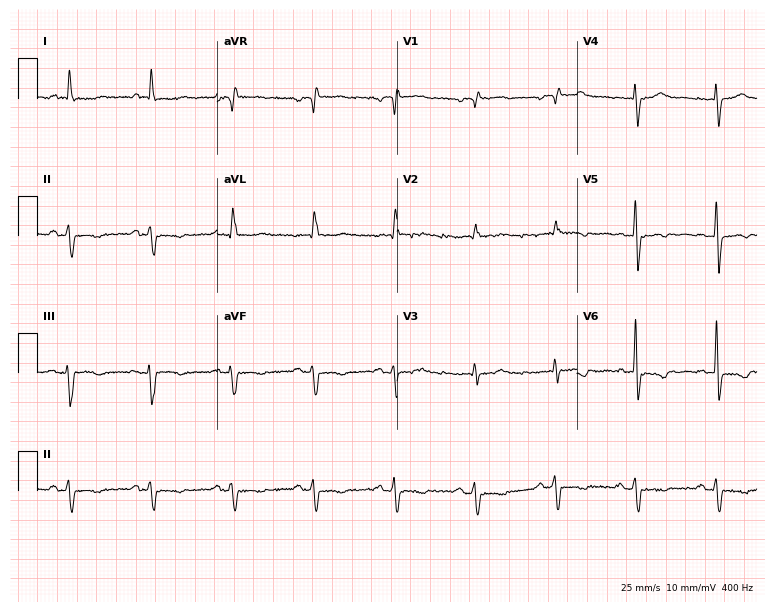
Resting 12-lead electrocardiogram. Patient: a 75-year-old woman. Read as a normal ECG.